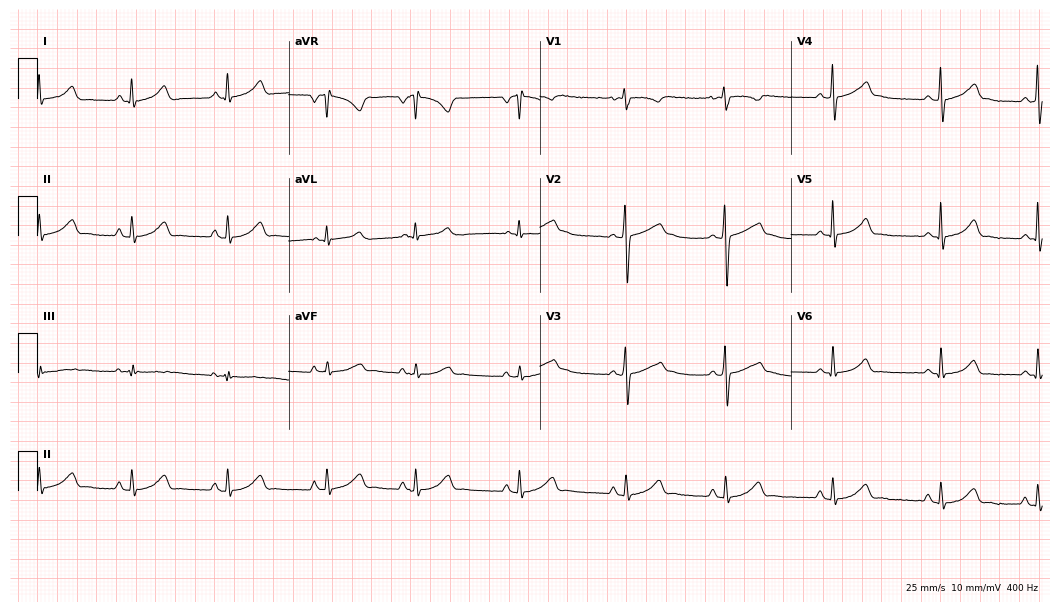
12-lead ECG from a 17-year-old female patient. Labelled as a normal ECG.